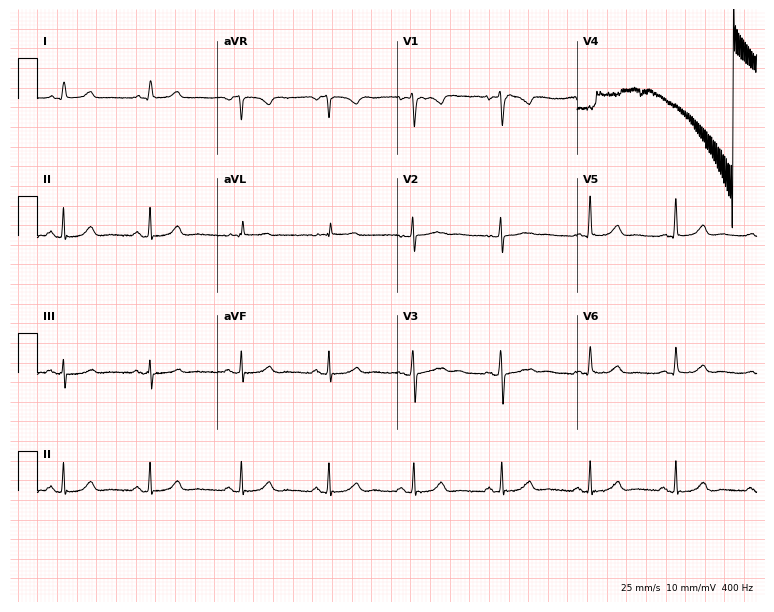
Standard 12-lead ECG recorded from a female, 40 years old (7.3-second recording at 400 Hz). None of these six findings is recorded: first-degree AV block, right bundle branch block (RBBB), left bundle branch block (LBBB), sinus bradycardia, atrial fibrillation (AF), sinus tachycardia. Other findings, if any, are not listed.